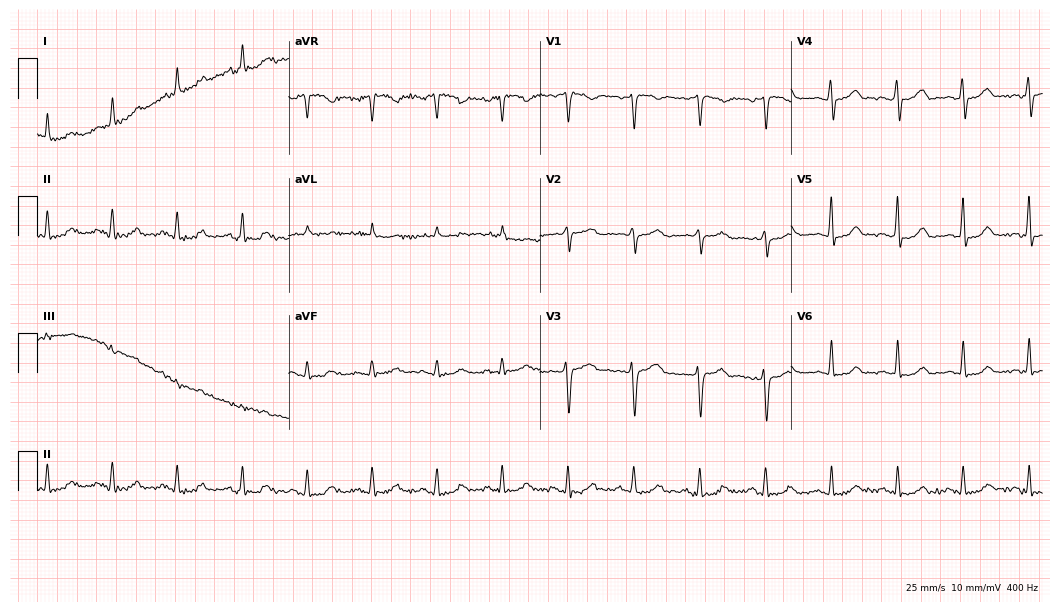
Electrocardiogram, a 44-year-old female patient. Overall reading on record: normal ECG.